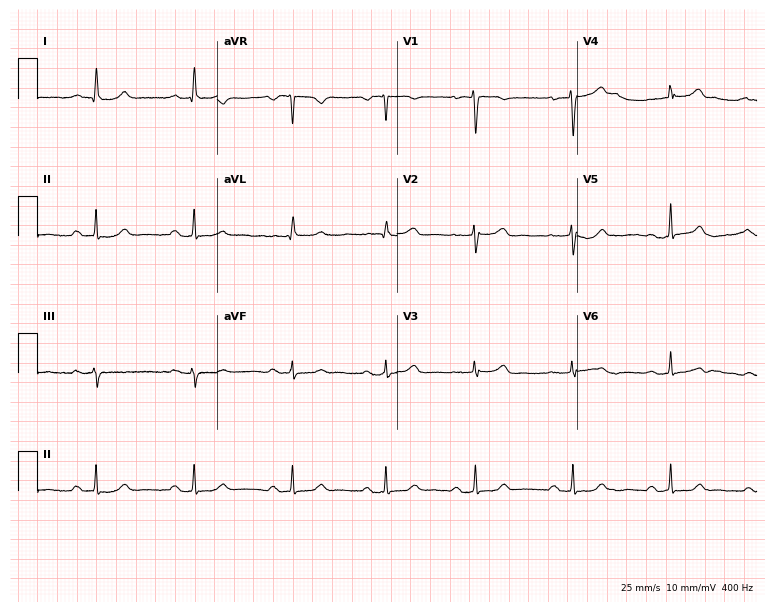
Standard 12-lead ECG recorded from a 45-year-old female (7.3-second recording at 400 Hz). The tracing shows first-degree AV block.